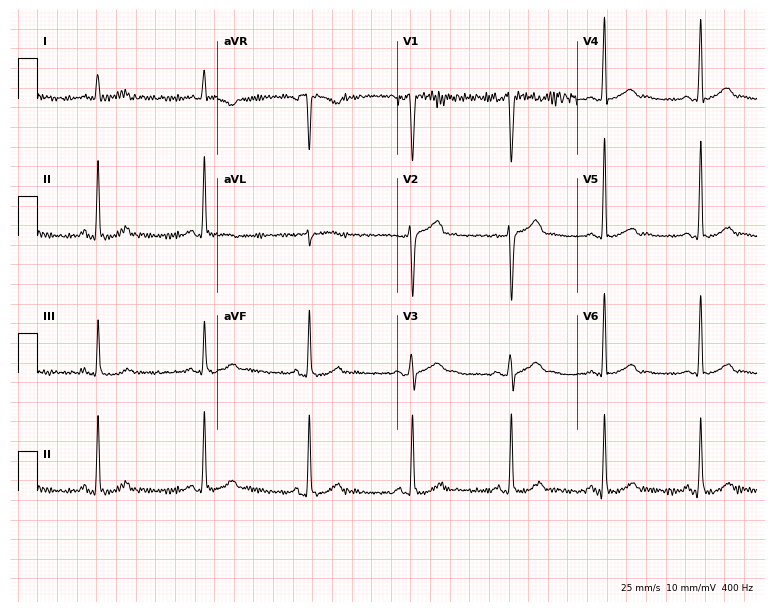
12-lead ECG from a 33-year-old male patient. Recorded interpretation: within normal limits.